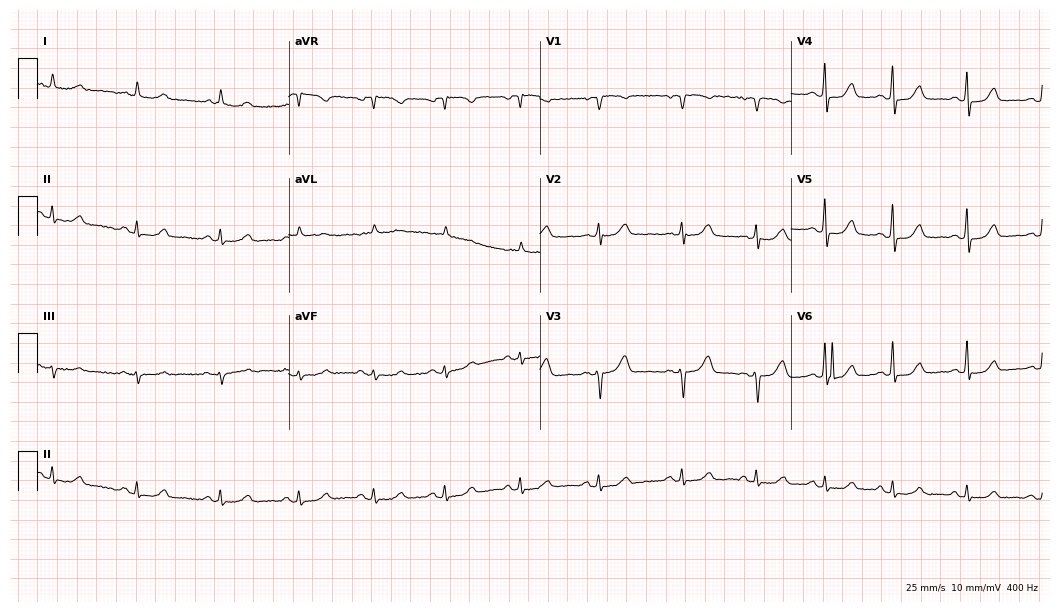
Resting 12-lead electrocardiogram (10.2-second recording at 400 Hz). Patient: a female, 61 years old. None of these six findings is recorded: first-degree AV block, right bundle branch block, left bundle branch block, sinus bradycardia, atrial fibrillation, sinus tachycardia.